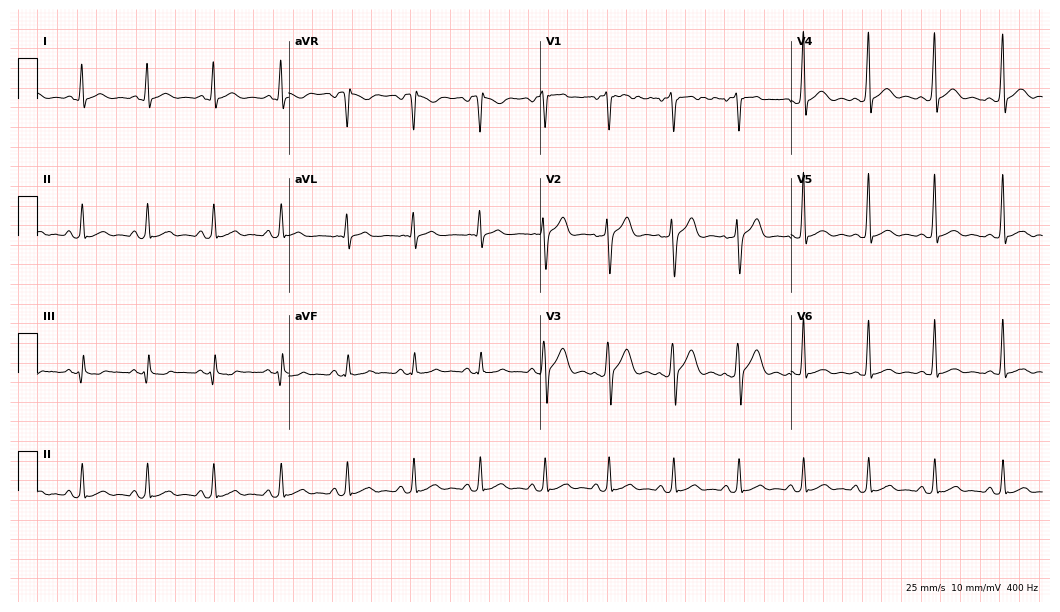
Electrocardiogram (10.2-second recording at 400 Hz), a 27-year-old male patient. Overall reading on record: normal ECG.